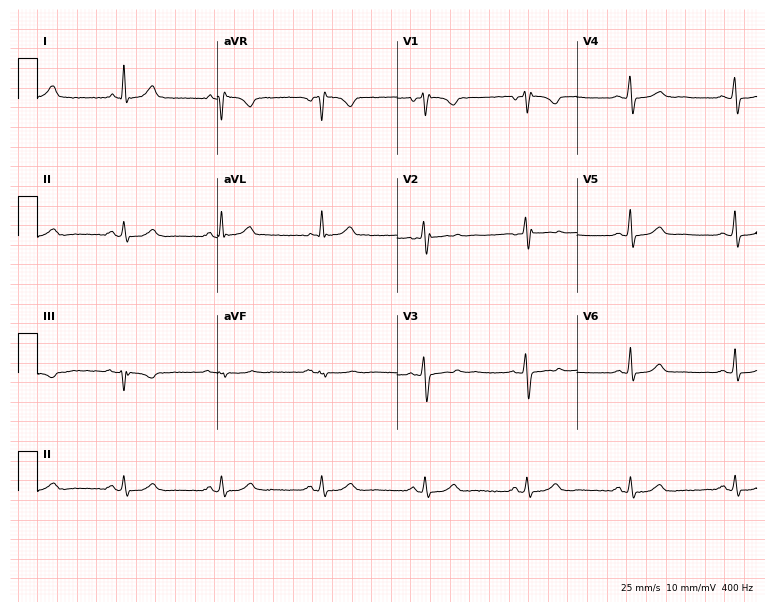
Resting 12-lead electrocardiogram (7.3-second recording at 400 Hz). Patient: a female, 39 years old. None of these six findings is recorded: first-degree AV block, right bundle branch block, left bundle branch block, sinus bradycardia, atrial fibrillation, sinus tachycardia.